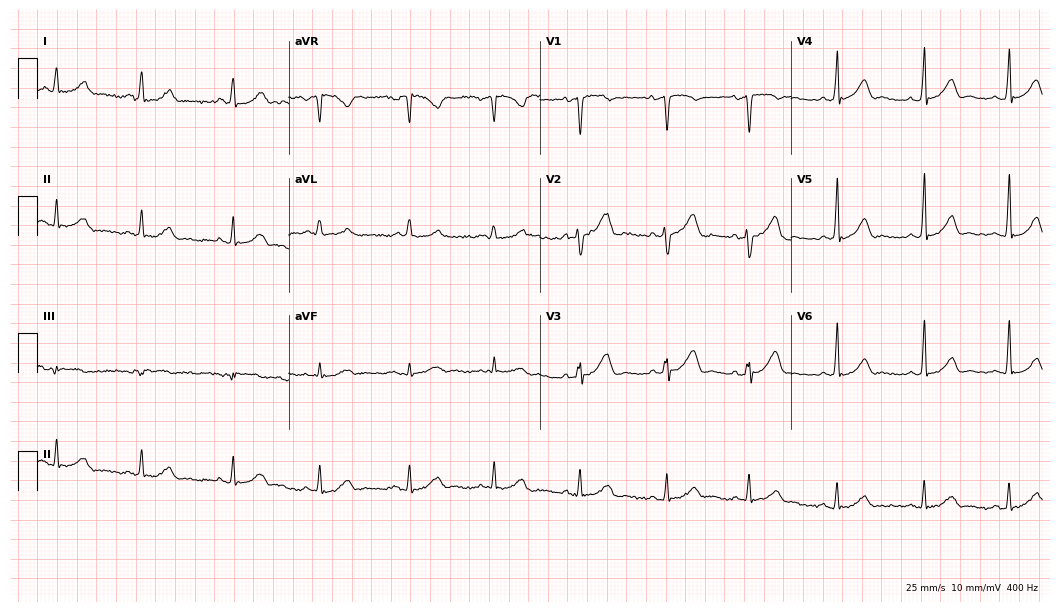
Resting 12-lead electrocardiogram (10.2-second recording at 400 Hz). Patient: a 36-year-old female. Read as a normal ECG.